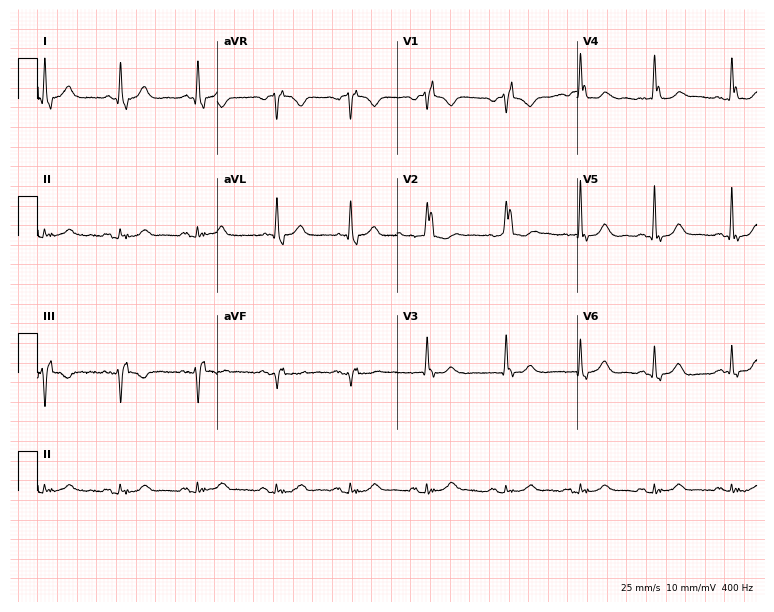
12-lead ECG from a female patient, 75 years old. Shows right bundle branch block.